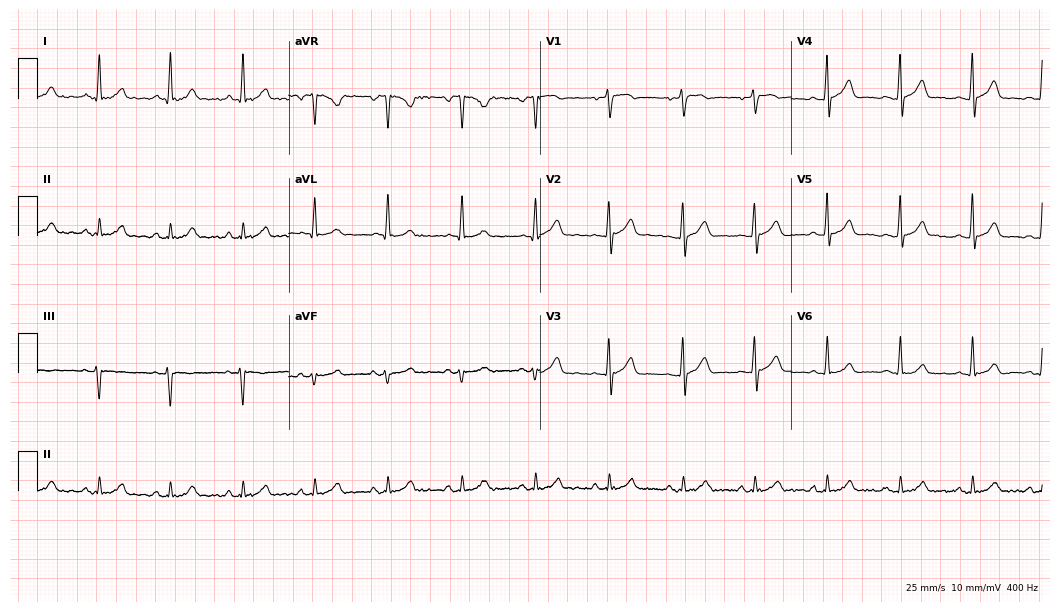
Standard 12-lead ECG recorded from a man, 30 years old (10.2-second recording at 400 Hz). Read as a normal ECG.